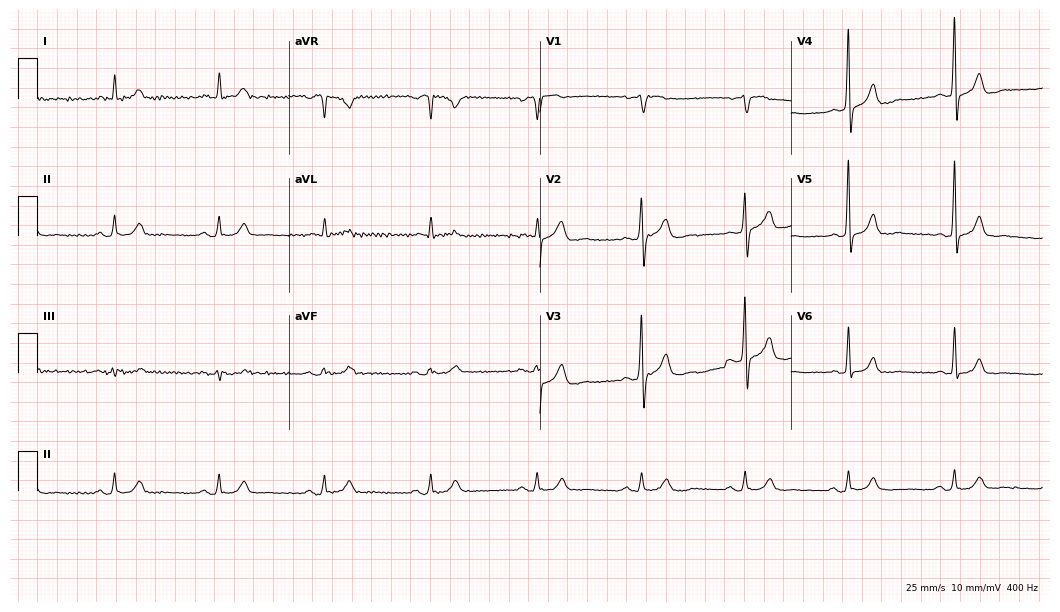
Resting 12-lead electrocardiogram. Patient: a male, 66 years old. None of these six findings is recorded: first-degree AV block, right bundle branch block, left bundle branch block, sinus bradycardia, atrial fibrillation, sinus tachycardia.